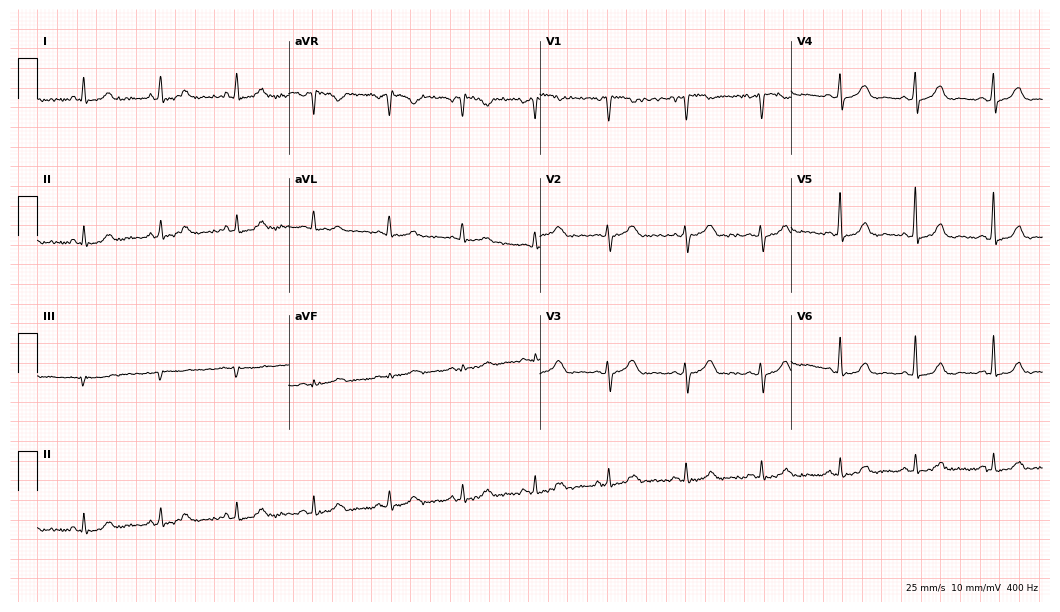
12-lead ECG from a female, 55 years old. Screened for six findings — first-degree AV block, right bundle branch block, left bundle branch block, sinus bradycardia, atrial fibrillation, sinus tachycardia — none is recorded.